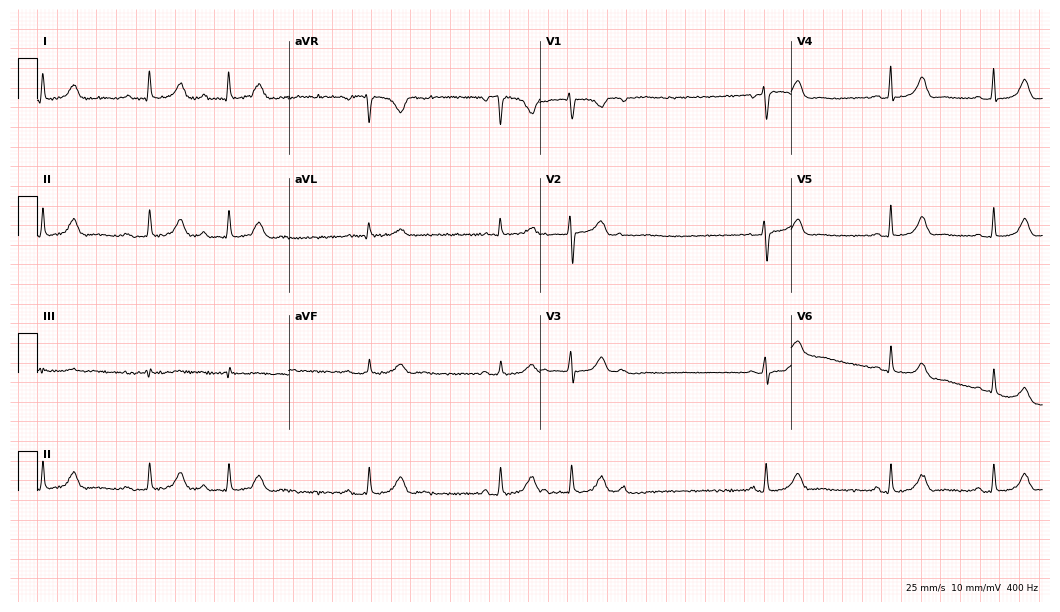
Standard 12-lead ECG recorded from a 39-year-old female (10.2-second recording at 400 Hz). None of these six findings is recorded: first-degree AV block, right bundle branch block, left bundle branch block, sinus bradycardia, atrial fibrillation, sinus tachycardia.